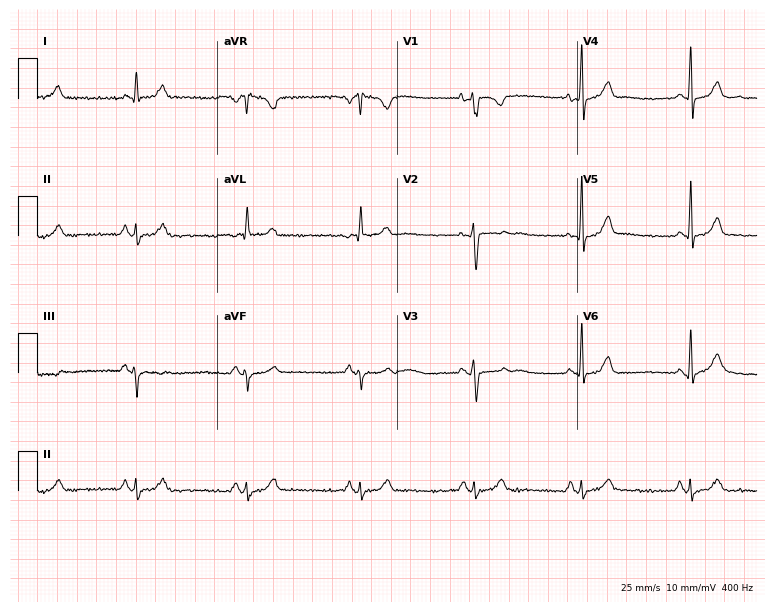
12-lead ECG from a 41-year-old female. Recorded interpretation: within normal limits.